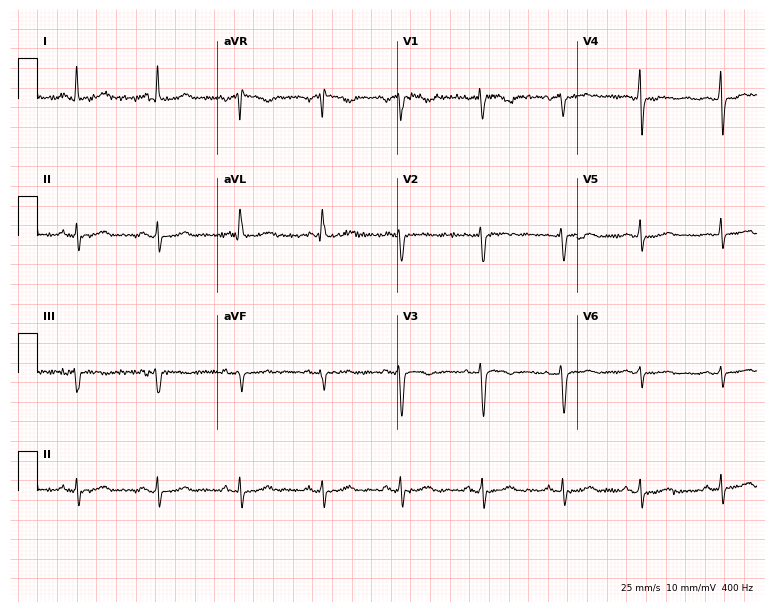
12-lead ECG from a 40-year-old female patient. Screened for six findings — first-degree AV block, right bundle branch block (RBBB), left bundle branch block (LBBB), sinus bradycardia, atrial fibrillation (AF), sinus tachycardia — none is recorded.